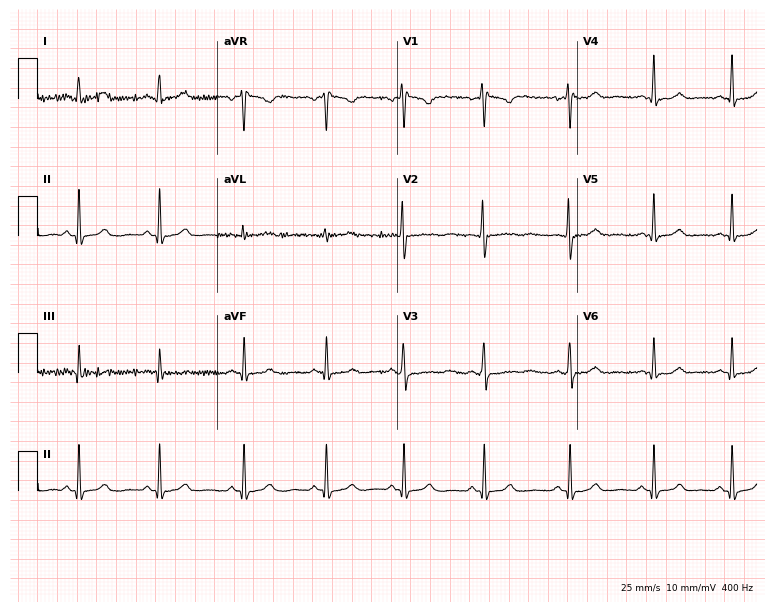
12-lead ECG from an 18-year-old female (7.3-second recording at 400 Hz). Recorded interpretation: within normal limits.